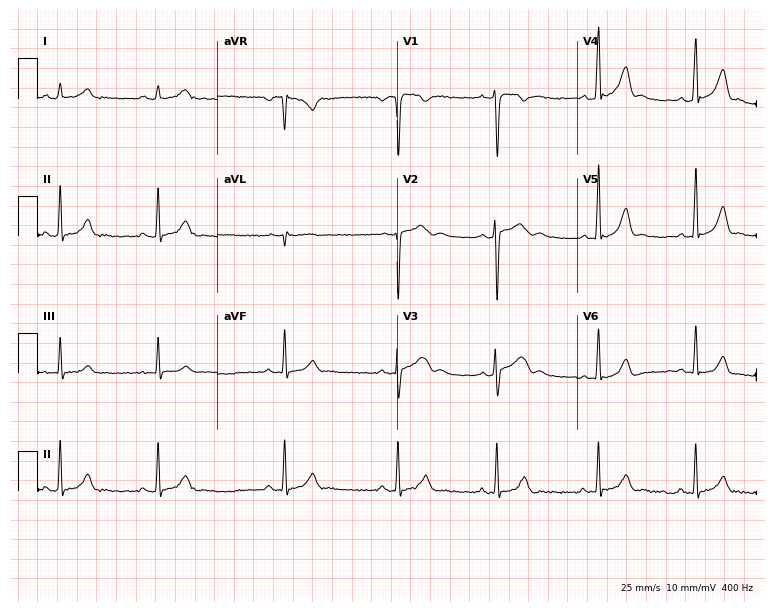
12-lead ECG (7.3-second recording at 400 Hz) from a 17-year-old man. Screened for six findings — first-degree AV block, right bundle branch block, left bundle branch block, sinus bradycardia, atrial fibrillation, sinus tachycardia — none is recorded. Only these six findings were labelled.